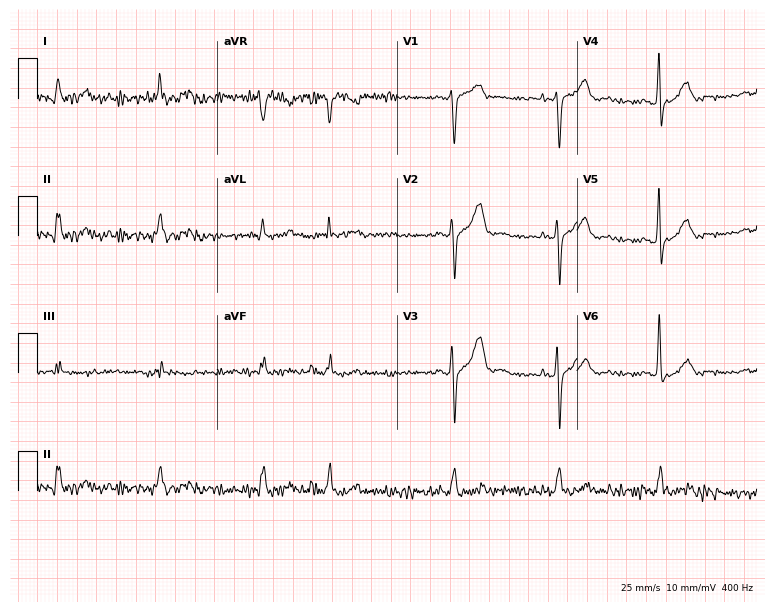
12-lead ECG from a man, 77 years old. Screened for six findings — first-degree AV block, right bundle branch block (RBBB), left bundle branch block (LBBB), sinus bradycardia, atrial fibrillation (AF), sinus tachycardia — none is recorded. Other findings, if any, are not listed.